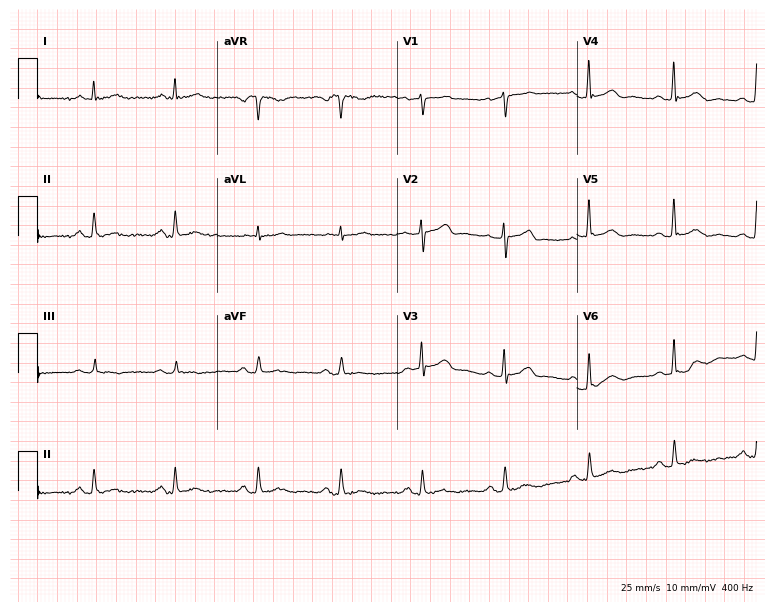
12-lead ECG from a female, 60 years old (7.3-second recording at 400 Hz). No first-degree AV block, right bundle branch block, left bundle branch block, sinus bradycardia, atrial fibrillation or sinus tachycardia recorded for this tracing. Only these six findings were labelled.